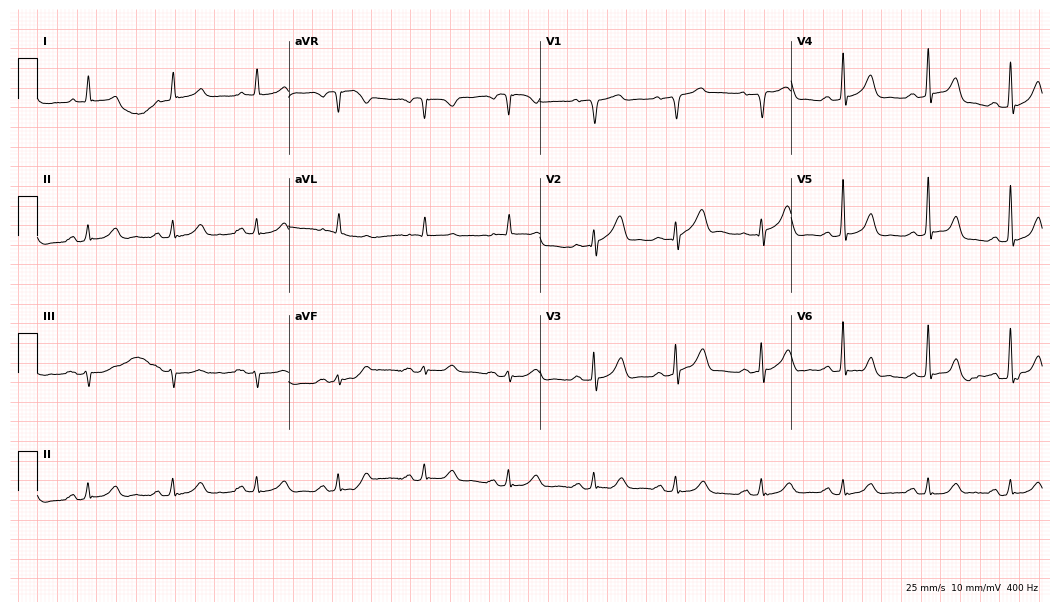
Electrocardiogram, an 82-year-old man. Overall reading on record: normal ECG.